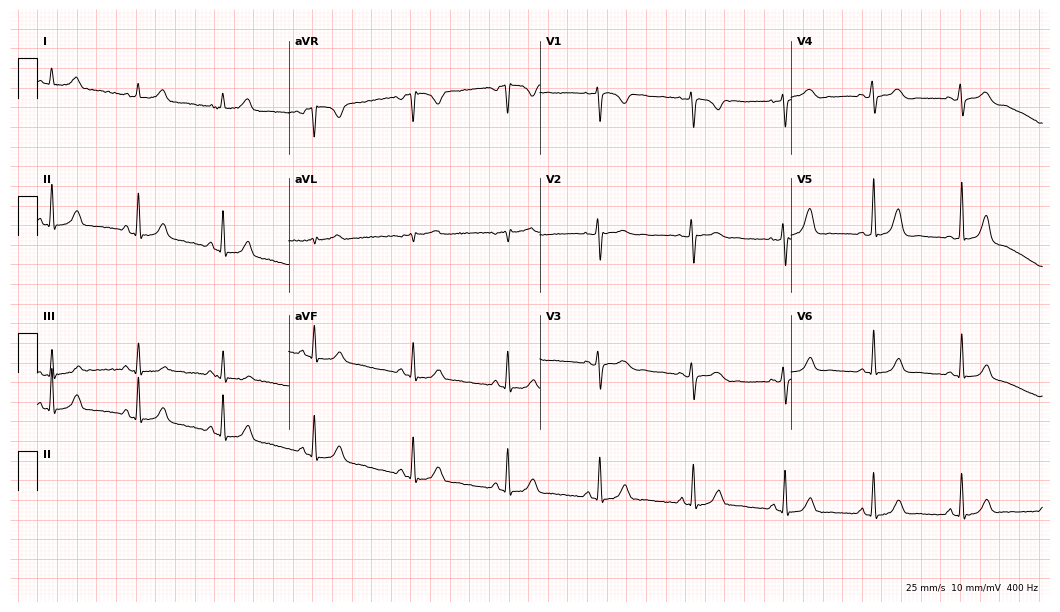
ECG — a 27-year-old female. Labelled as a normal ECG.